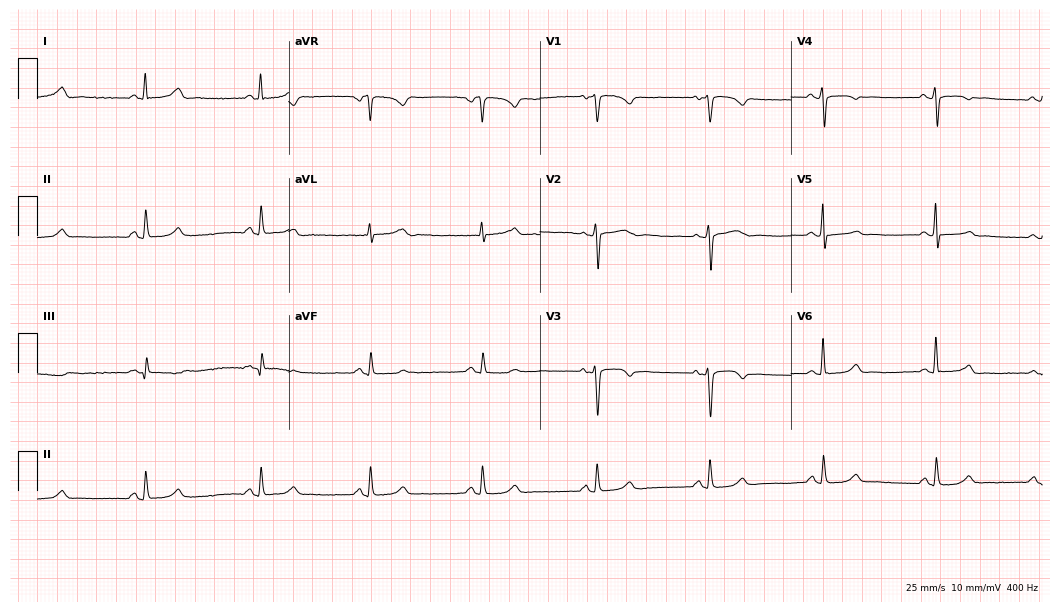
Resting 12-lead electrocardiogram. Patient: a 54-year-old female. Read as a normal ECG.